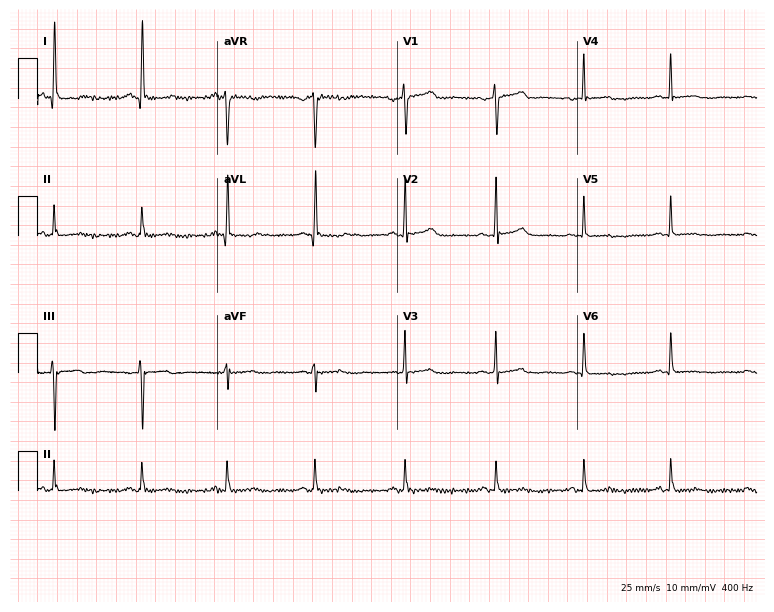
12-lead ECG from a woman, 66 years old. Recorded interpretation: within normal limits.